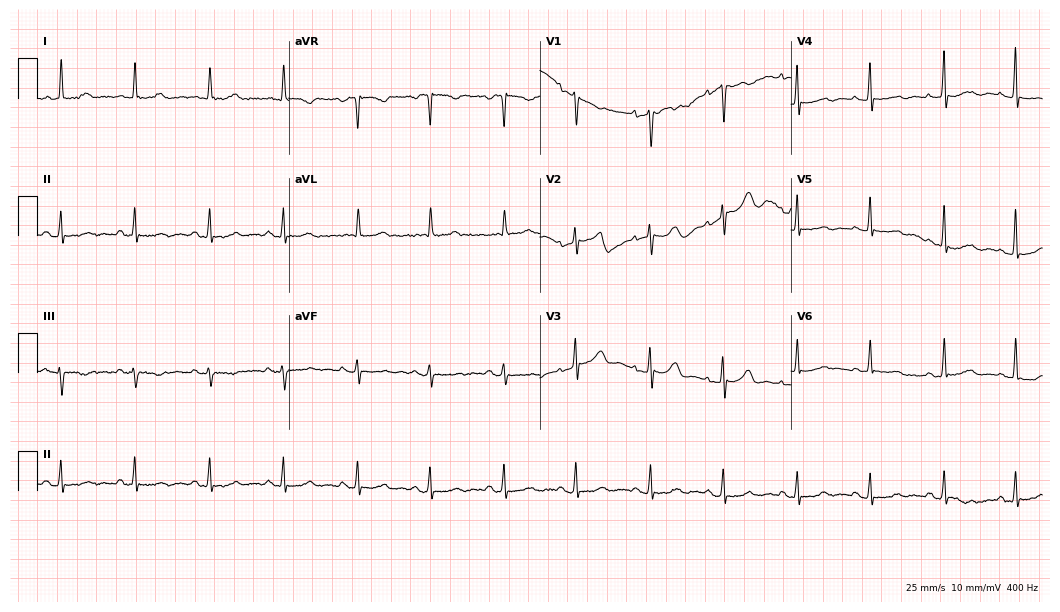
Resting 12-lead electrocardiogram. Patient: a 68-year-old female. Read as a normal ECG.